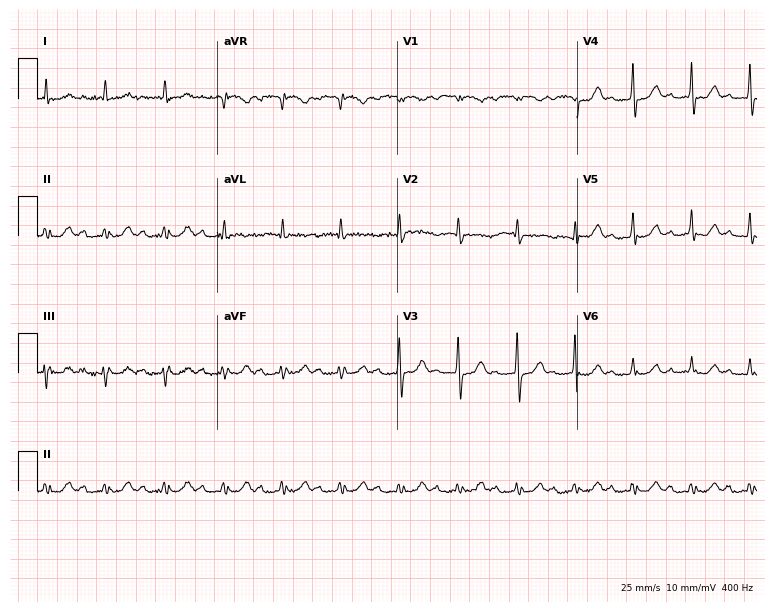
Resting 12-lead electrocardiogram (7.3-second recording at 400 Hz). Patient: a 70-year-old female. None of these six findings is recorded: first-degree AV block, right bundle branch block, left bundle branch block, sinus bradycardia, atrial fibrillation, sinus tachycardia.